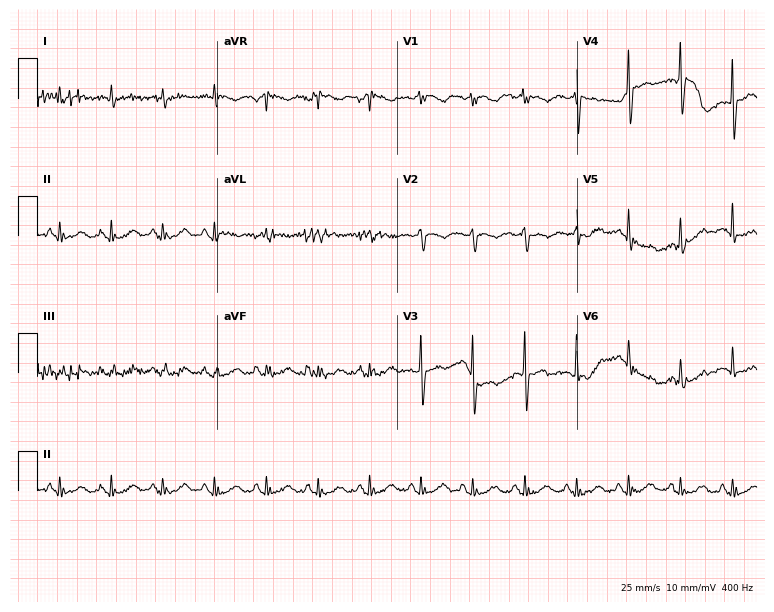
Resting 12-lead electrocardiogram (7.3-second recording at 400 Hz). Patient: a 78-year-old man. The tracing shows sinus tachycardia (a sinus rate of 100 beats per minute or more).